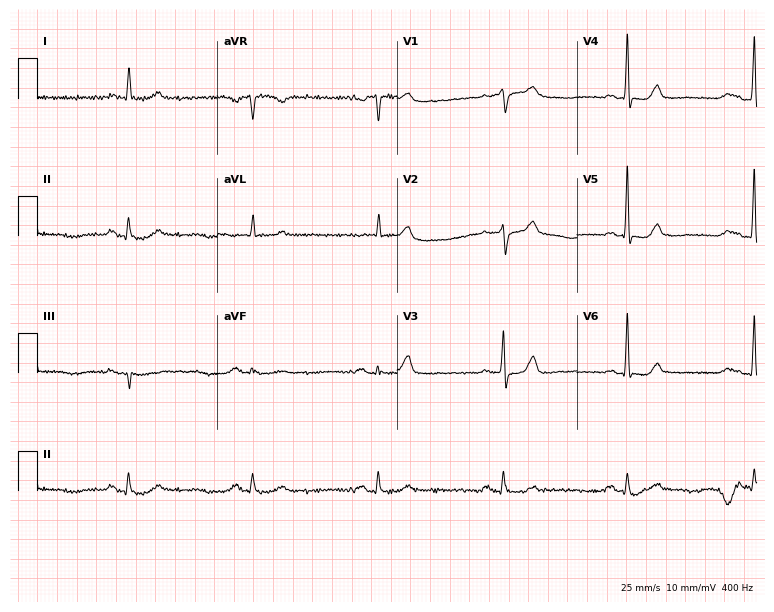
Electrocardiogram (7.3-second recording at 400 Hz), a 79-year-old male patient. Interpretation includes sinus bradycardia (a sinus rate of 50 beats per minute or less).